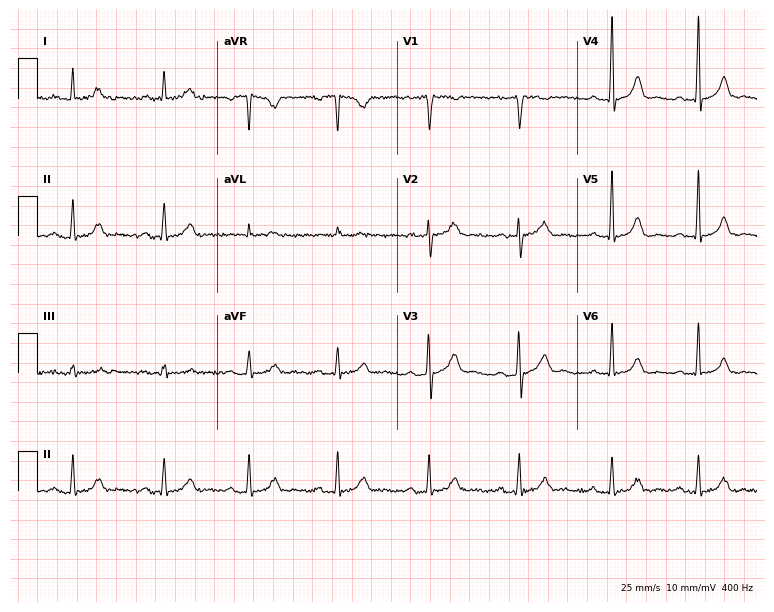
ECG — a 48-year-old female patient. Screened for six findings — first-degree AV block, right bundle branch block, left bundle branch block, sinus bradycardia, atrial fibrillation, sinus tachycardia — none is recorded. Findings outside these six are not listed.